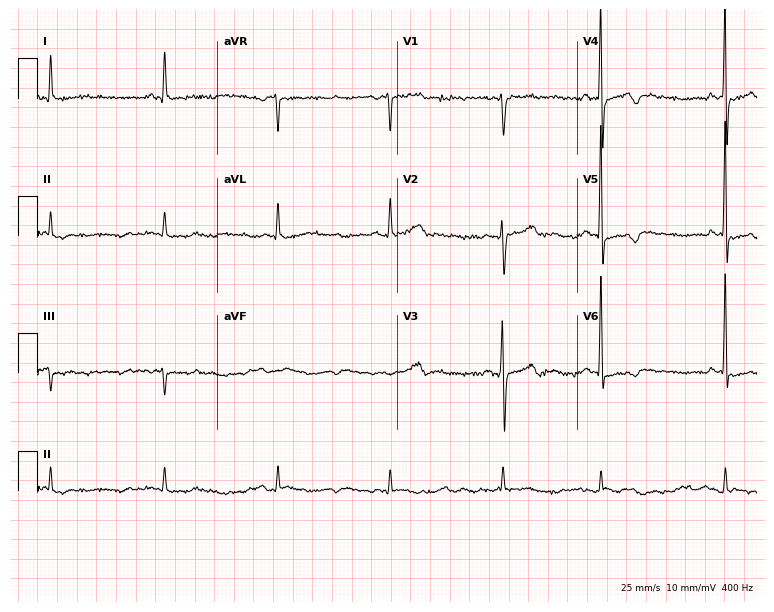
Electrocardiogram (7.3-second recording at 400 Hz), a man, 68 years old. Of the six screened findings (first-degree AV block, right bundle branch block (RBBB), left bundle branch block (LBBB), sinus bradycardia, atrial fibrillation (AF), sinus tachycardia), none is recorded.